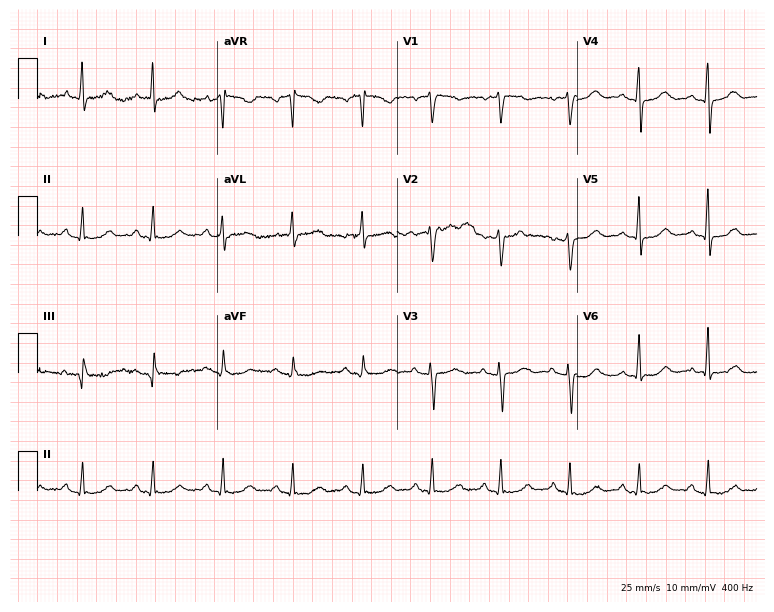
ECG (7.3-second recording at 400 Hz) — a 62-year-old woman. Labelled as a normal ECG.